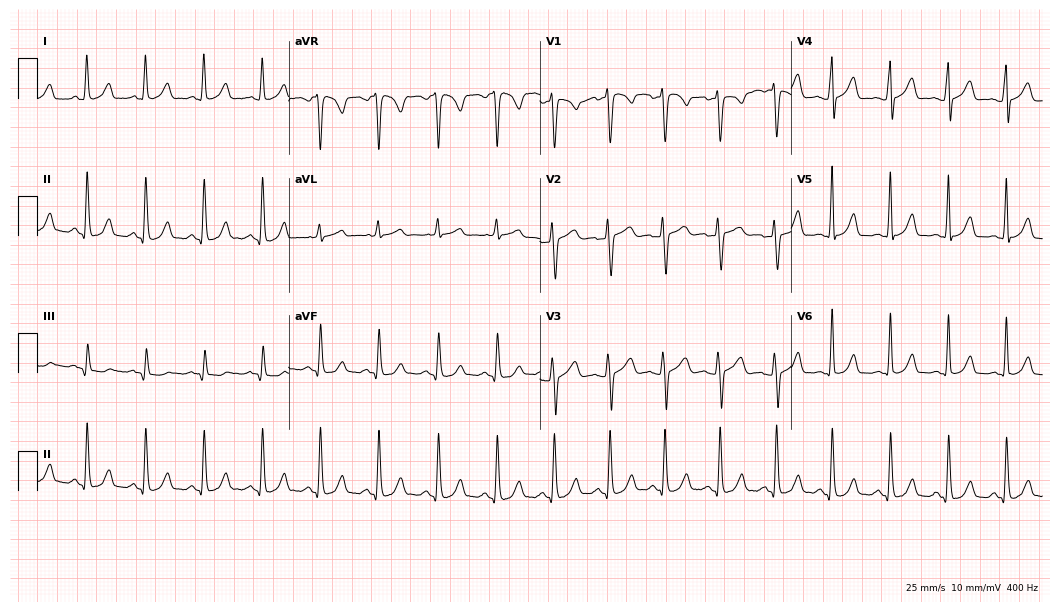
Resting 12-lead electrocardiogram (10.2-second recording at 400 Hz). Patient: a female, 36 years old. The tracing shows sinus tachycardia (a sinus rate of 100 beats per minute or more).